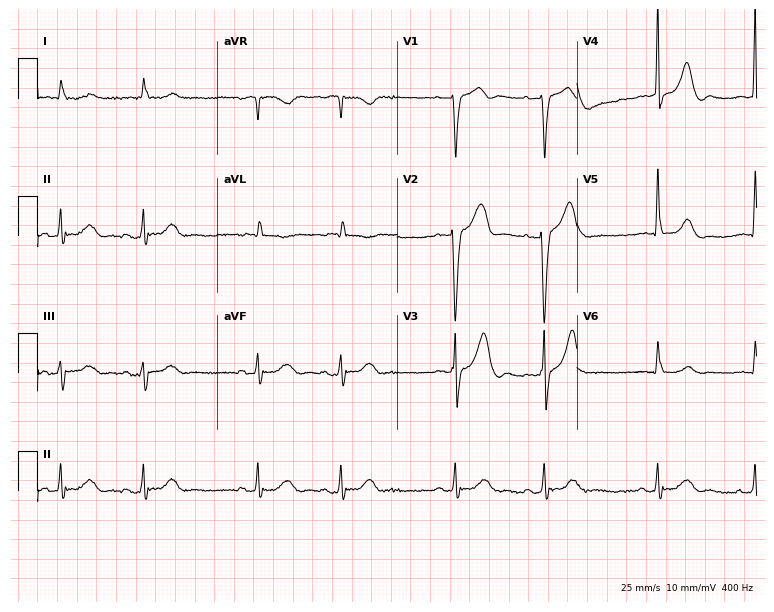
Electrocardiogram, a 69-year-old male. Of the six screened findings (first-degree AV block, right bundle branch block (RBBB), left bundle branch block (LBBB), sinus bradycardia, atrial fibrillation (AF), sinus tachycardia), none is recorded. Other findings, if any, are not listed.